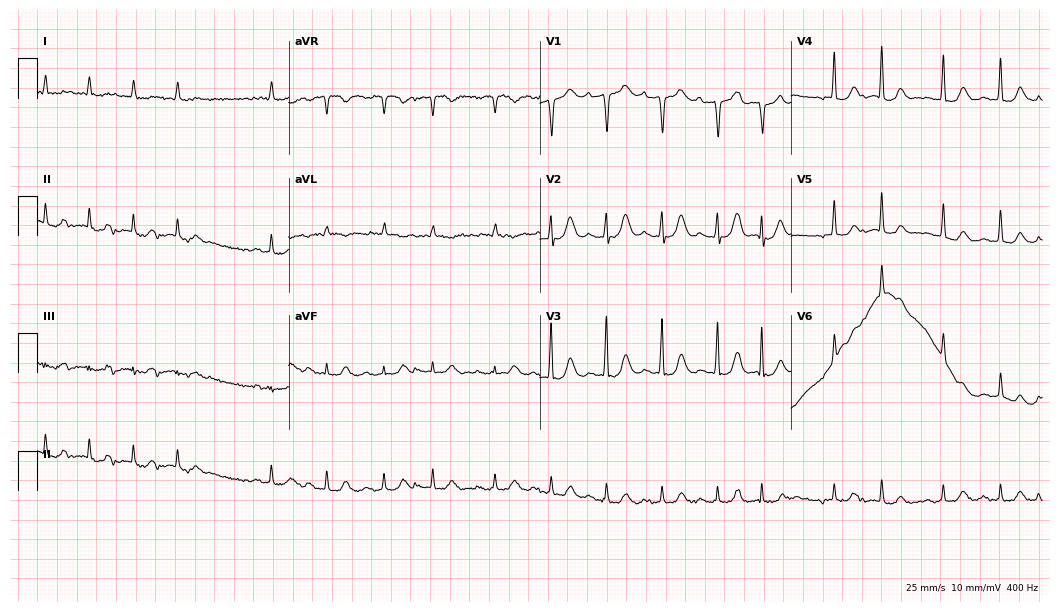
Electrocardiogram (10.2-second recording at 400 Hz), an 85-year-old female patient. Interpretation includes atrial fibrillation (AF).